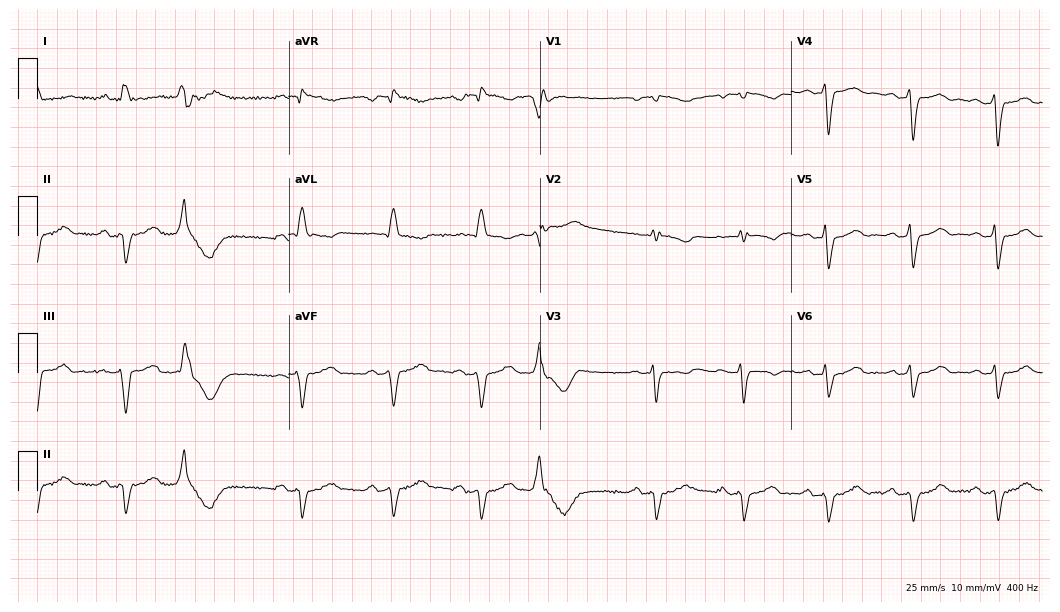
Resting 12-lead electrocardiogram (10.2-second recording at 400 Hz). Patient: a 73-year-old female. The tracing shows right bundle branch block.